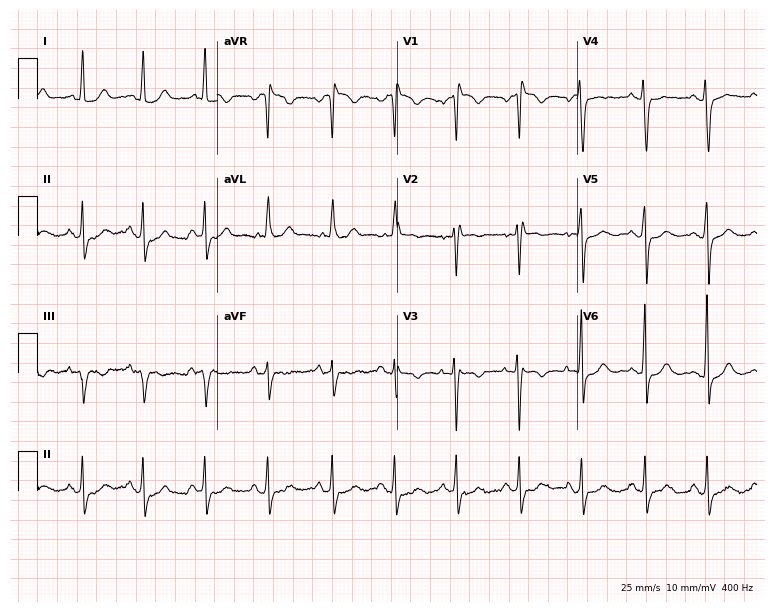
Electrocardiogram, a 64-year-old female patient. Interpretation includes right bundle branch block.